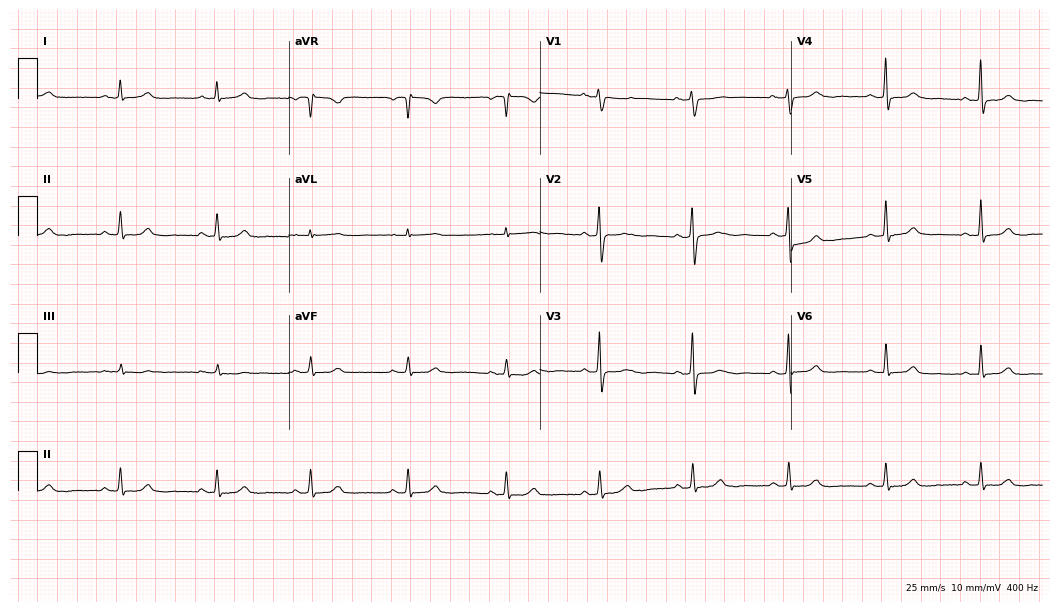
12-lead ECG from a woman, 38 years old (10.2-second recording at 400 Hz). No first-degree AV block, right bundle branch block, left bundle branch block, sinus bradycardia, atrial fibrillation or sinus tachycardia recorded for this tracing. Other findings, if any, are not listed.